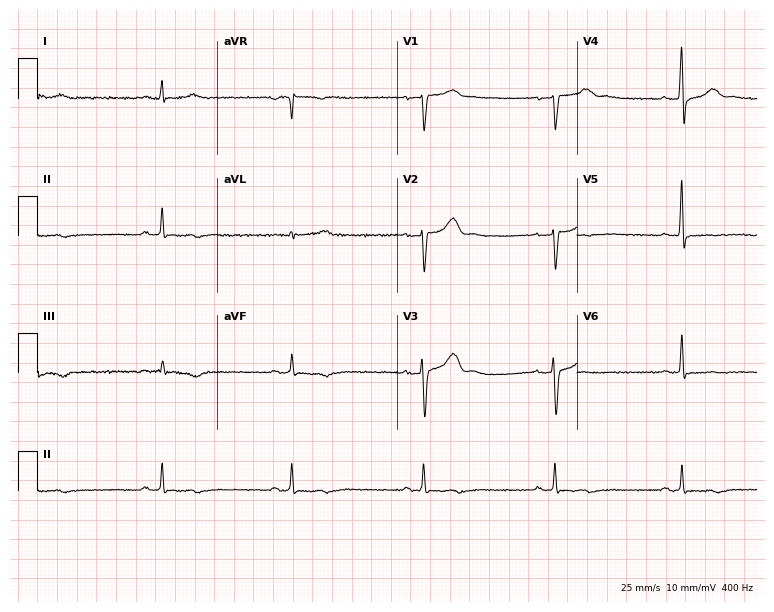
Resting 12-lead electrocardiogram (7.3-second recording at 400 Hz). Patient: a 54-year-old male. None of these six findings is recorded: first-degree AV block, right bundle branch block, left bundle branch block, sinus bradycardia, atrial fibrillation, sinus tachycardia.